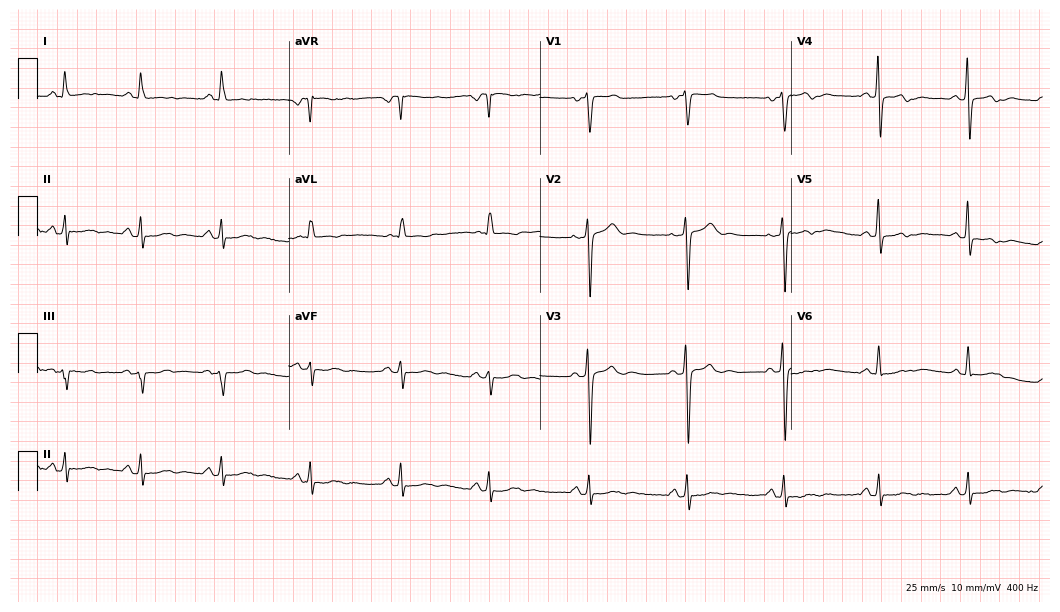
12-lead ECG (10.2-second recording at 400 Hz) from a man, 61 years old. Screened for six findings — first-degree AV block, right bundle branch block, left bundle branch block, sinus bradycardia, atrial fibrillation, sinus tachycardia — none is recorded.